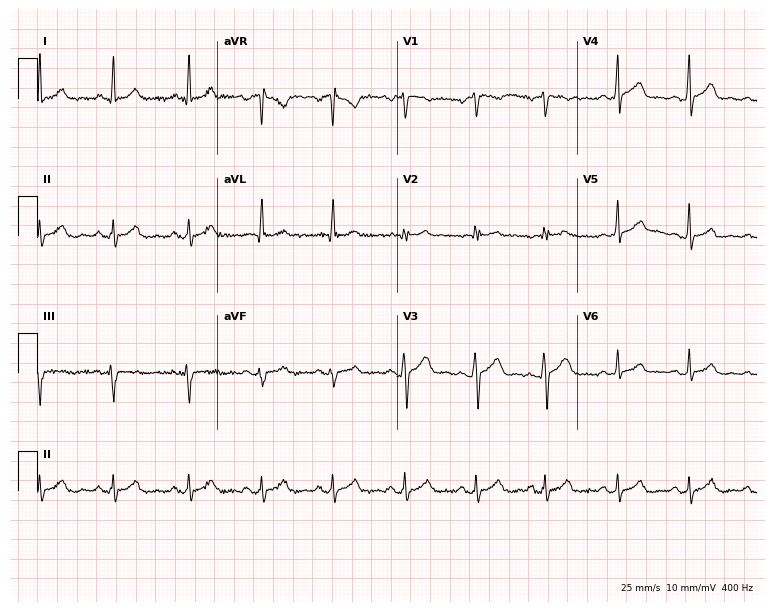
12-lead ECG (7.3-second recording at 400 Hz) from a 23-year-old man. Labelled as a normal ECG.